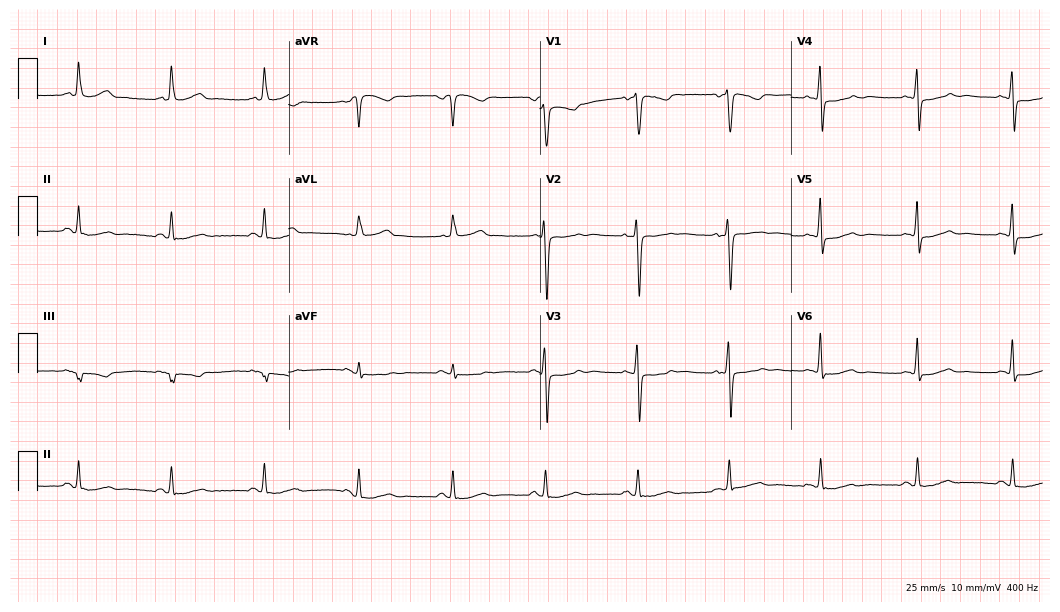
Electrocardiogram (10.2-second recording at 400 Hz), a 71-year-old male patient. Of the six screened findings (first-degree AV block, right bundle branch block, left bundle branch block, sinus bradycardia, atrial fibrillation, sinus tachycardia), none is recorded.